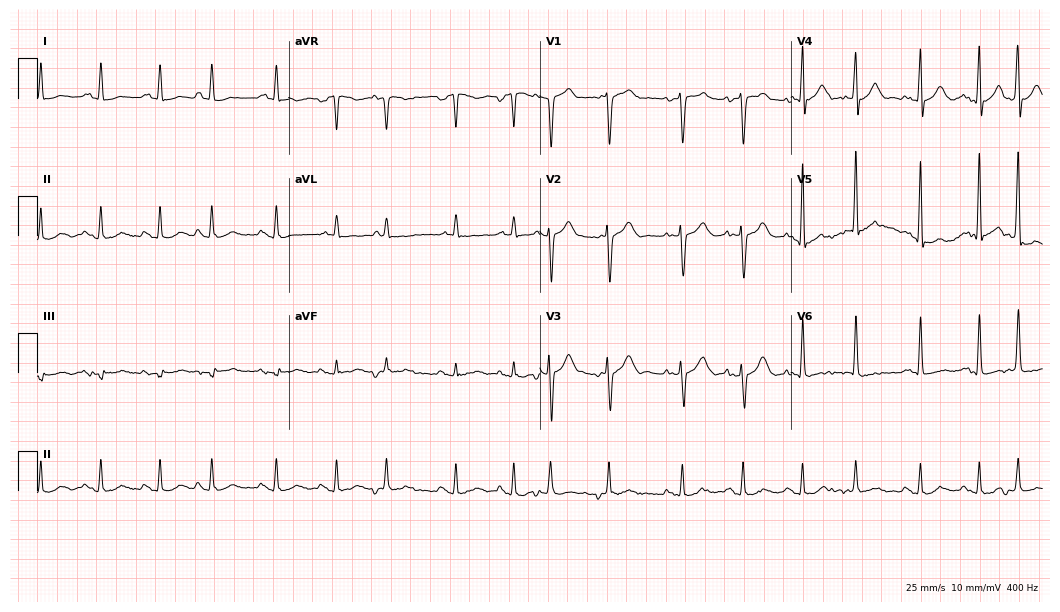
12-lead ECG (10.2-second recording at 400 Hz) from a male patient, 73 years old. Screened for six findings — first-degree AV block, right bundle branch block, left bundle branch block, sinus bradycardia, atrial fibrillation, sinus tachycardia — none is recorded.